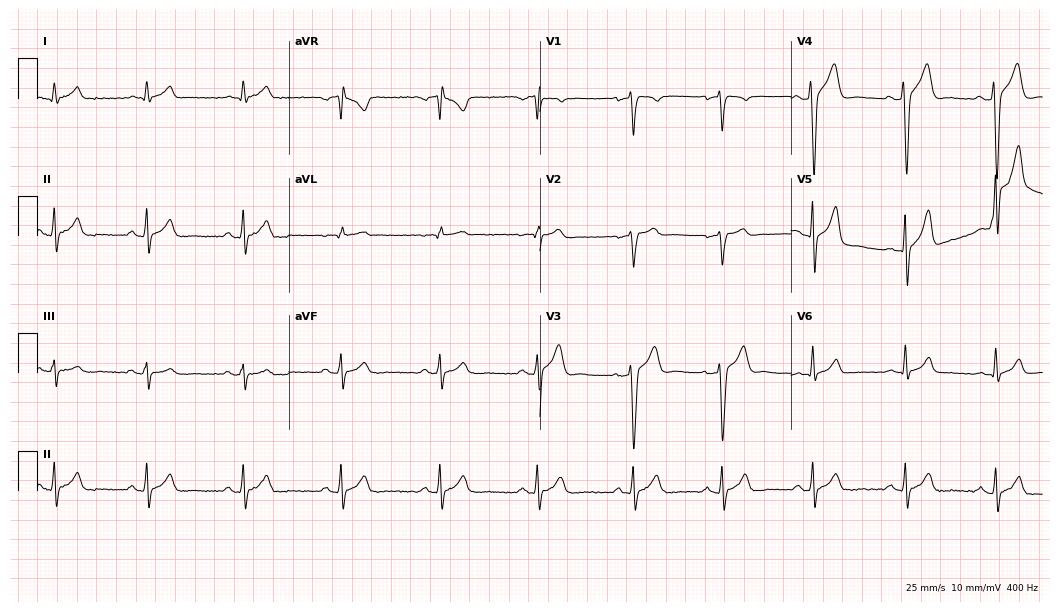
12-lead ECG from a male patient, 35 years old. Labelled as a normal ECG.